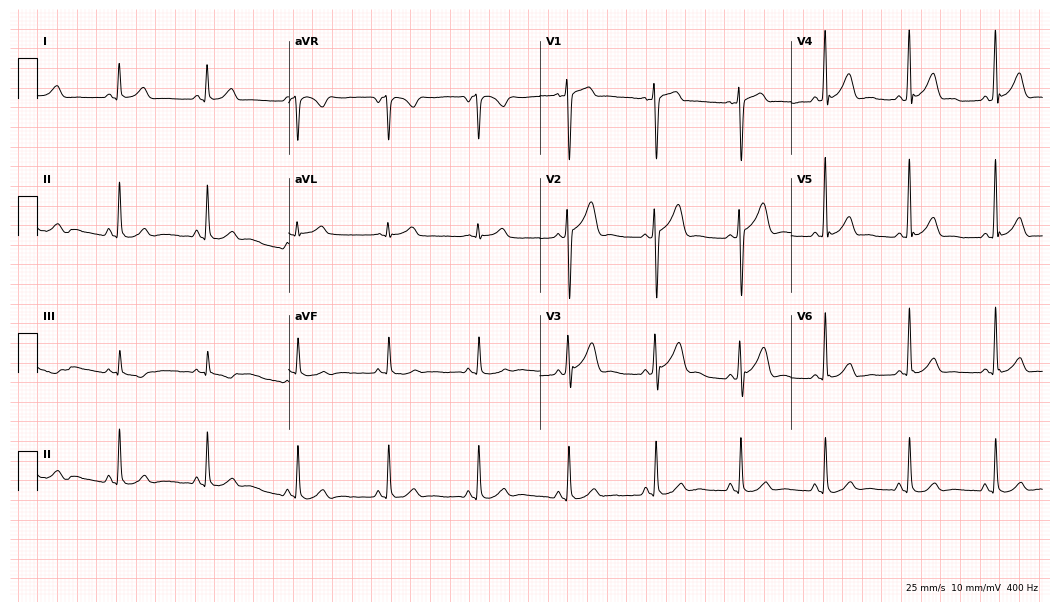
12-lead ECG from a man, 43 years old. No first-degree AV block, right bundle branch block (RBBB), left bundle branch block (LBBB), sinus bradycardia, atrial fibrillation (AF) or sinus tachycardia recorded for this tracing.